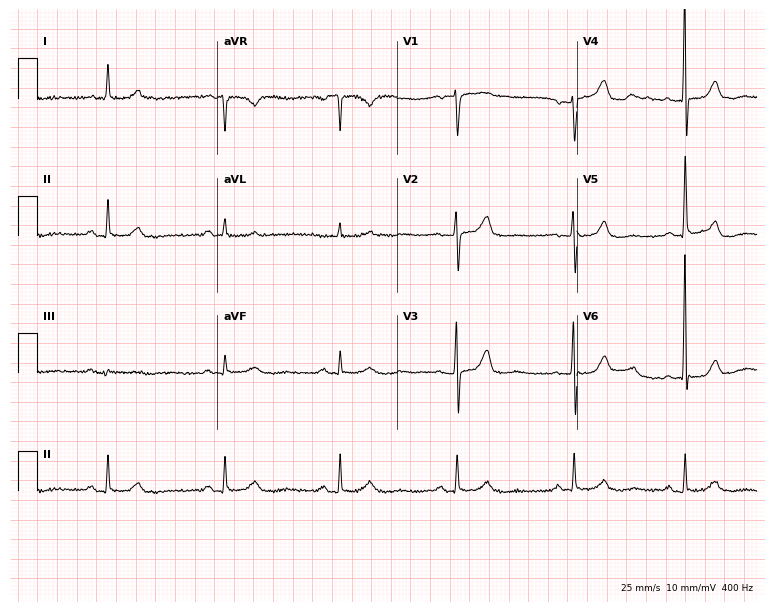
Electrocardiogram (7.3-second recording at 400 Hz), a 78-year-old woman. Overall reading on record: normal ECG.